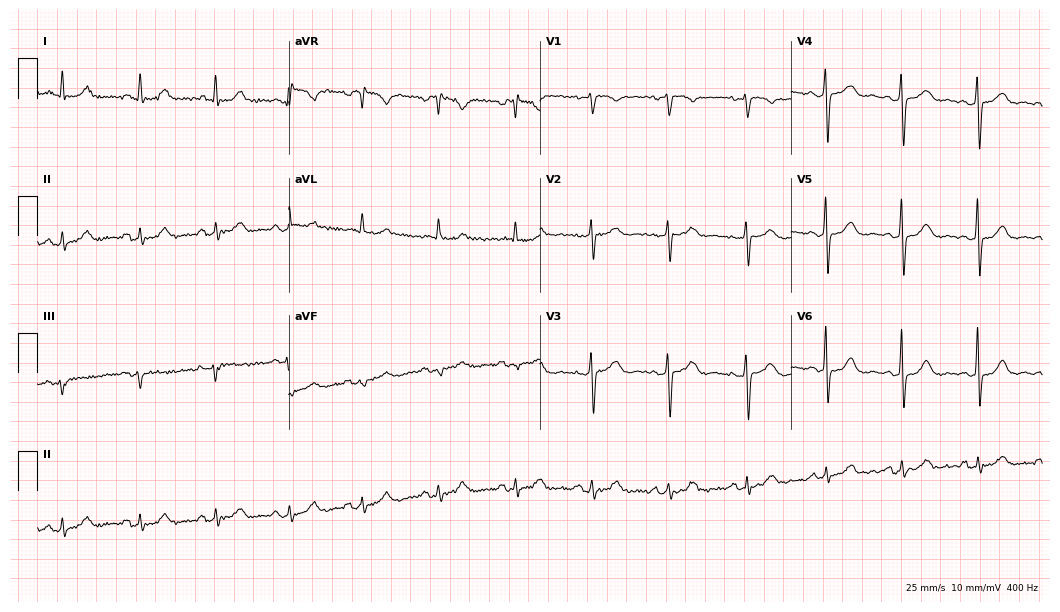
Standard 12-lead ECG recorded from a 59-year-old female patient (10.2-second recording at 400 Hz). Read as a normal ECG.